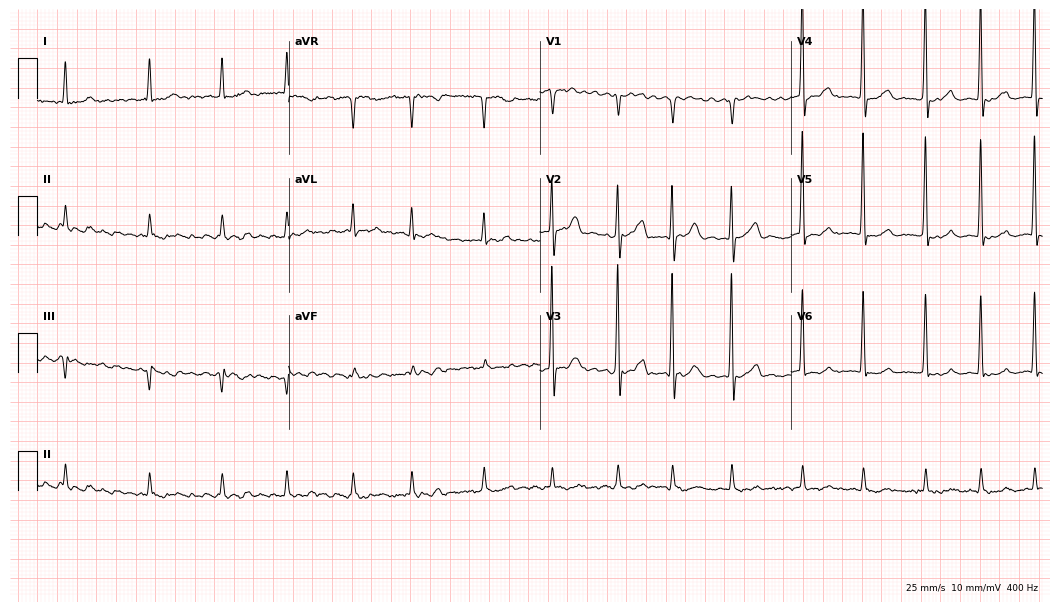
12-lead ECG from a male patient, 62 years old. Shows atrial fibrillation.